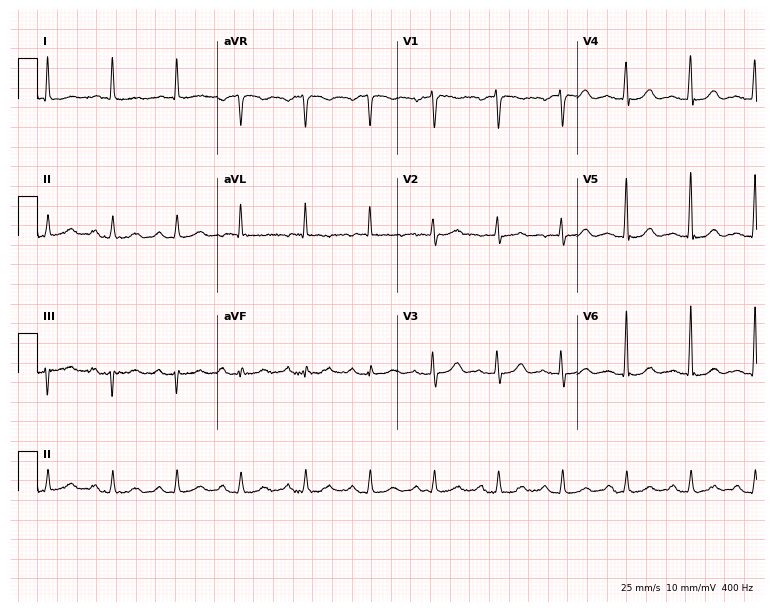
ECG — a female patient, 76 years old. Screened for six findings — first-degree AV block, right bundle branch block, left bundle branch block, sinus bradycardia, atrial fibrillation, sinus tachycardia — none is recorded. Only these six findings were labelled.